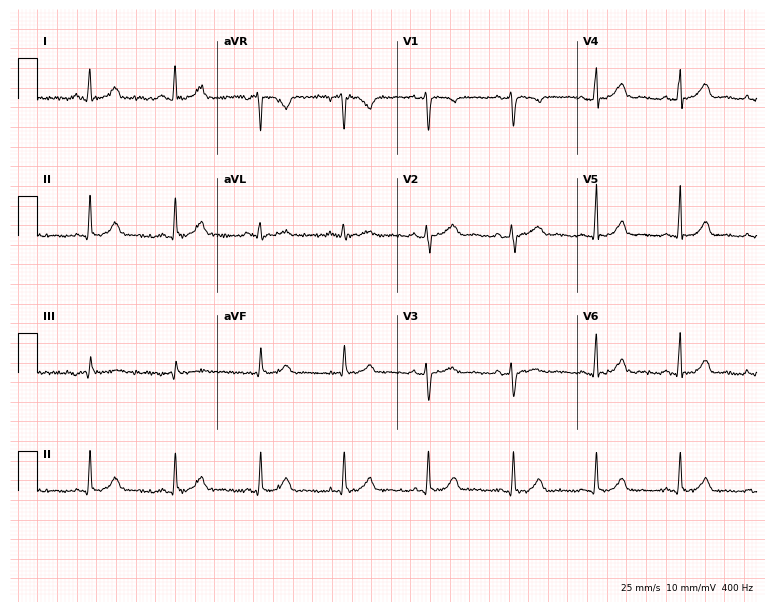
ECG — a 41-year-old female. Screened for six findings — first-degree AV block, right bundle branch block, left bundle branch block, sinus bradycardia, atrial fibrillation, sinus tachycardia — none is recorded. Only these six findings were labelled.